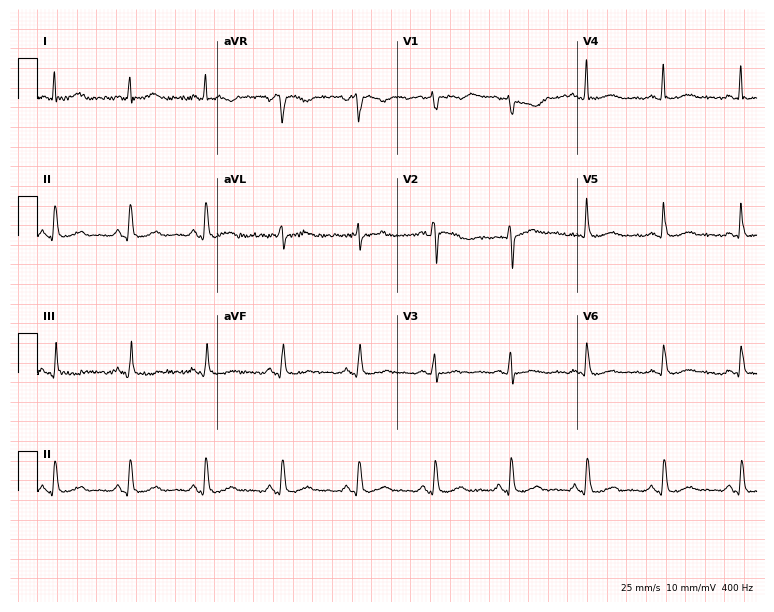
Electrocardiogram, a 55-year-old female. Of the six screened findings (first-degree AV block, right bundle branch block, left bundle branch block, sinus bradycardia, atrial fibrillation, sinus tachycardia), none is recorded. Only these six findings were labelled.